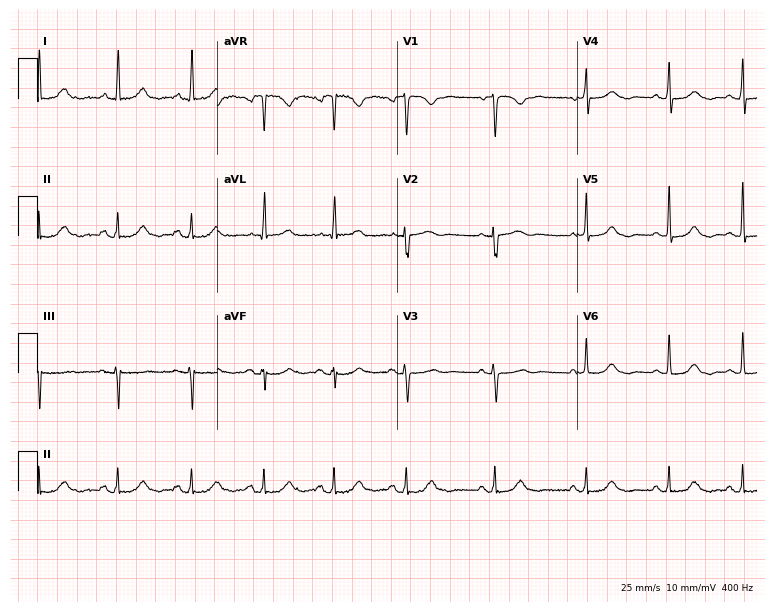
Electrocardiogram (7.3-second recording at 400 Hz), a woman, 64 years old. Overall reading on record: normal ECG.